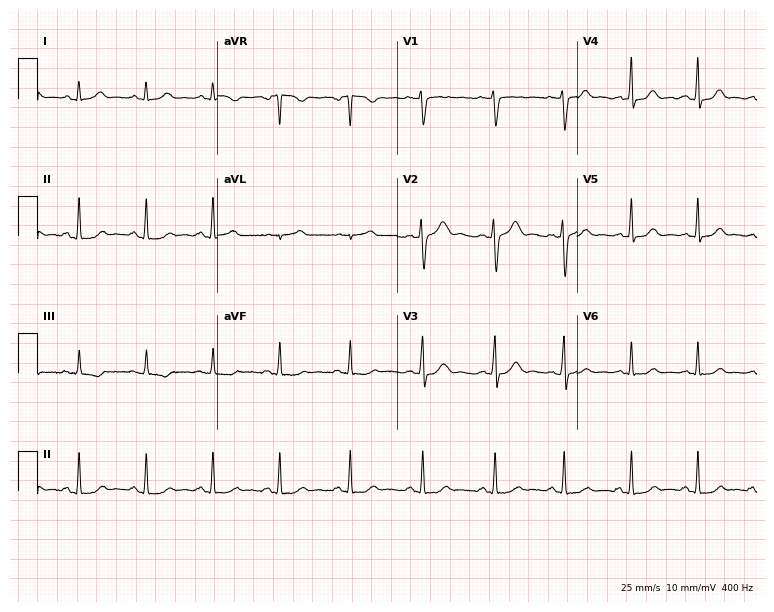
Electrocardiogram, a 31-year-old female. Of the six screened findings (first-degree AV block, right bundle branch block, left bundle branch block, sinus bradycardia, atrial fibrillation, sinus tachycardia), none is recorded.